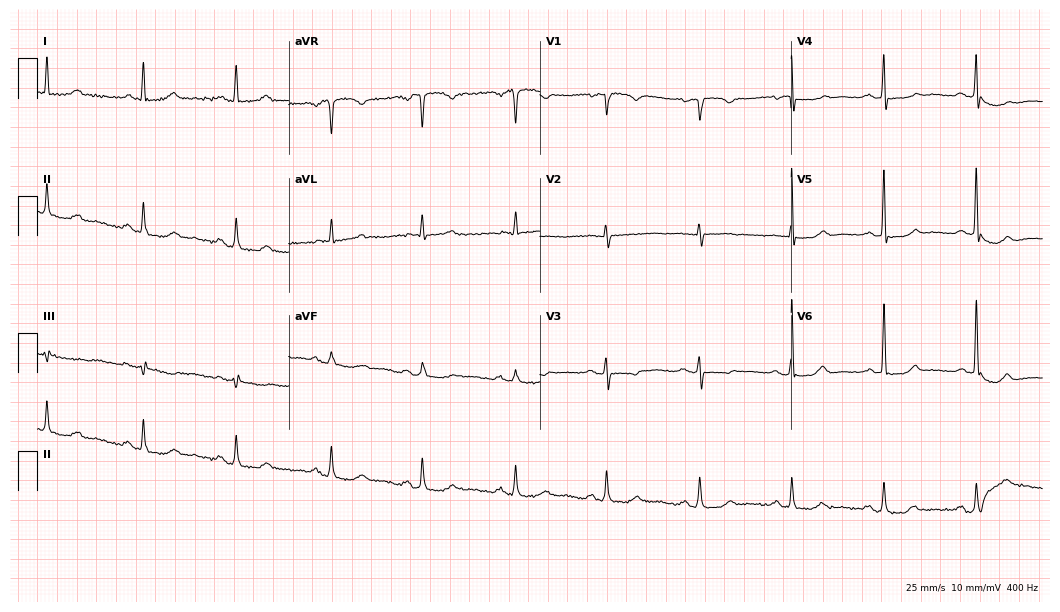
Electrocardiogram (10.2-second recording at 400 Hz), a 71-year-old female. Of the six screened findings (first-degree AV block, right bundle branch block, left bundle branch block, sinus bradycardia, atrial fibrillation, sinus tachycardia), none is recorded. Findings outside these six are not listed.